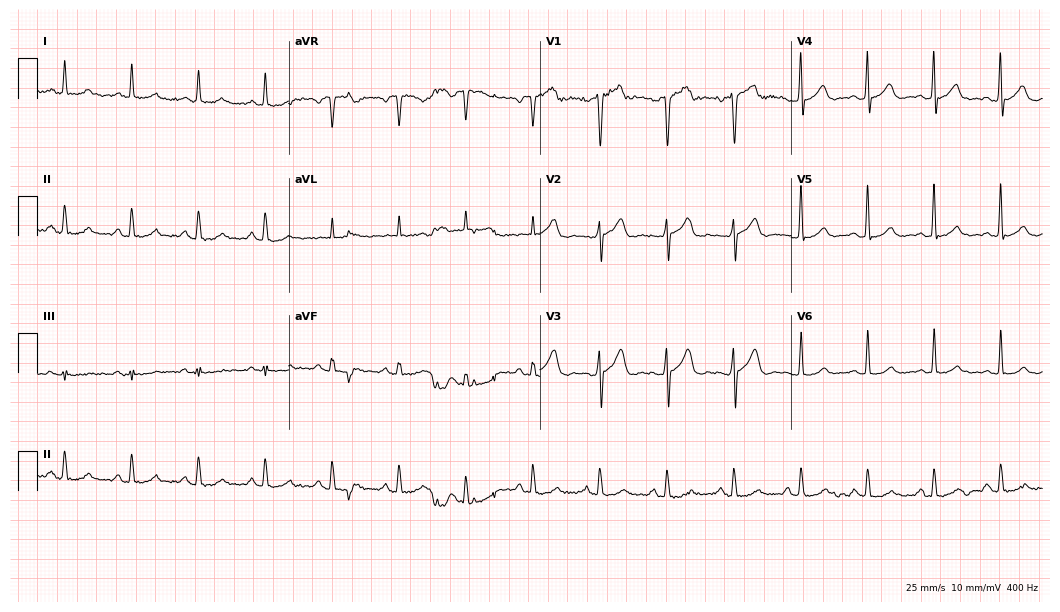
12-lead ECG from a 64-year-old man (10.2-second recording at 400 Hz). Recorded interpretation: within normal limits.